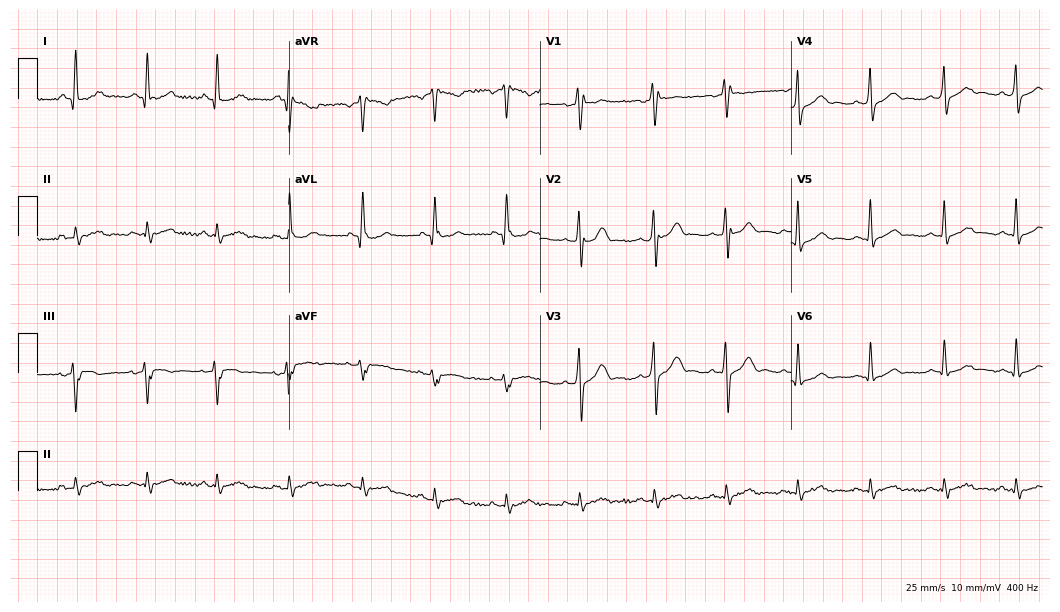
Resting 12-lead electrocardiogram (10.2-second recording at 400 Hz). Patient: a 30-year-old male. None of these six findings is recorded: first-degree AV block, right bundle branch block, left bundle branch block, sinus bradycardia, atrial fibrillation, sinus tachycardia. Findings outside these six are not listed.